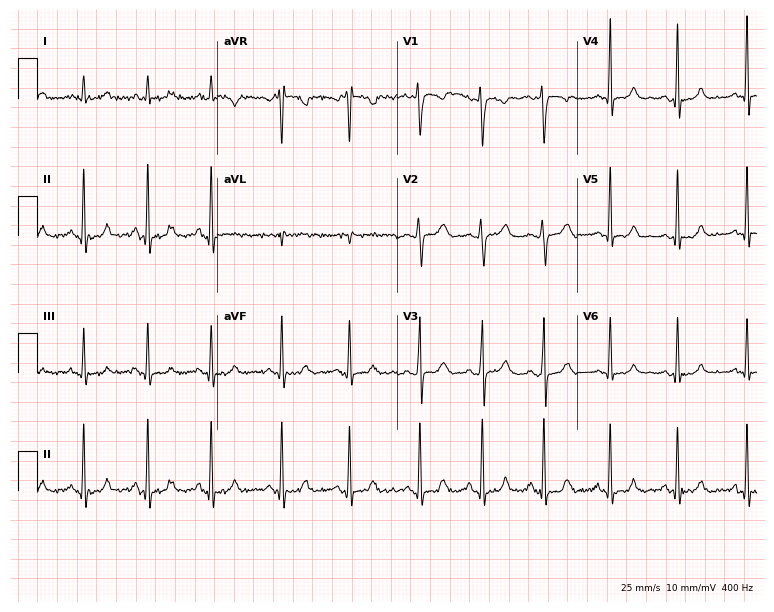
12-lead ECG from a female, 26 years old (7.3-second recording at 400 Hz). Recorded interpretation: within normal limits.